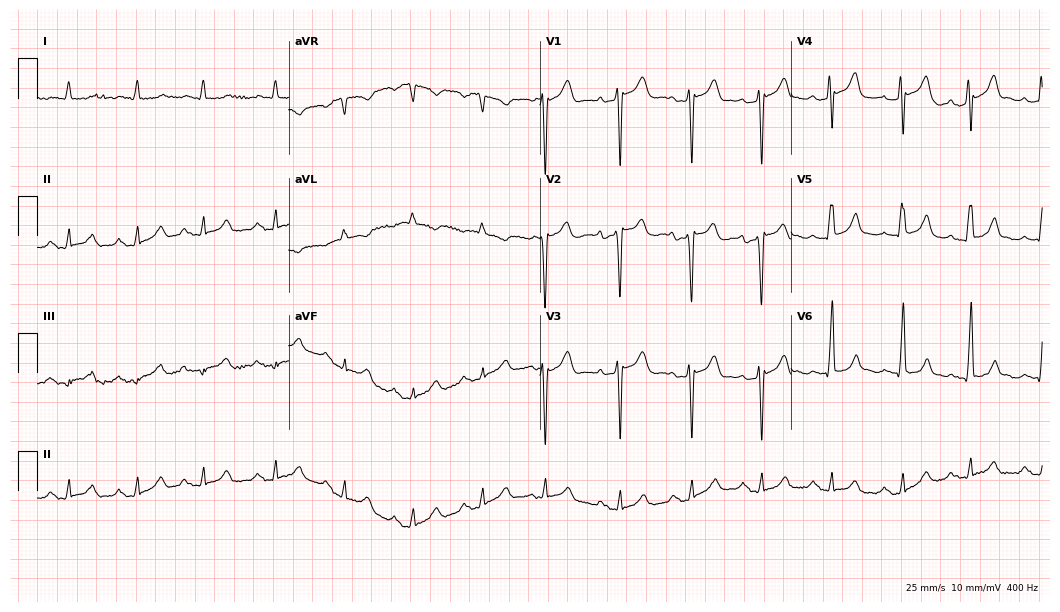
ECG (10.2-second recording at 400 Hz) — a 79-year-old male patient. Screened for six findings — first-degree AV block, right bundle branch block (RBBB), left bundle branch block (LBBB), sinus bradycardia, atrial fibrillation (AF), sinus tachycardia — none is recorded. Other findings, if any, are not listed.